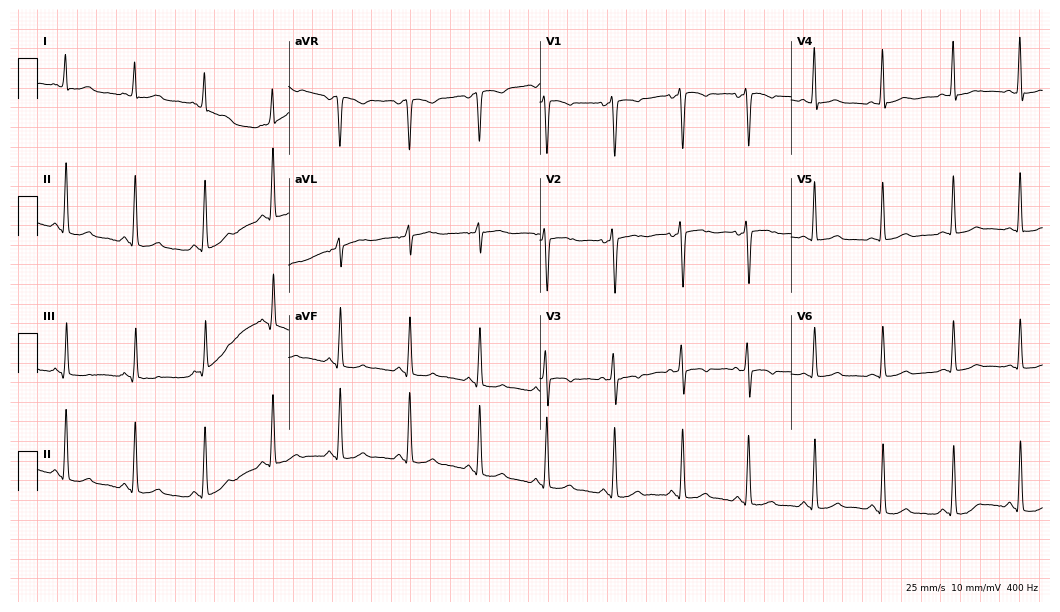
ECG — a female, 20 years old. Labelled as a normal ECG.